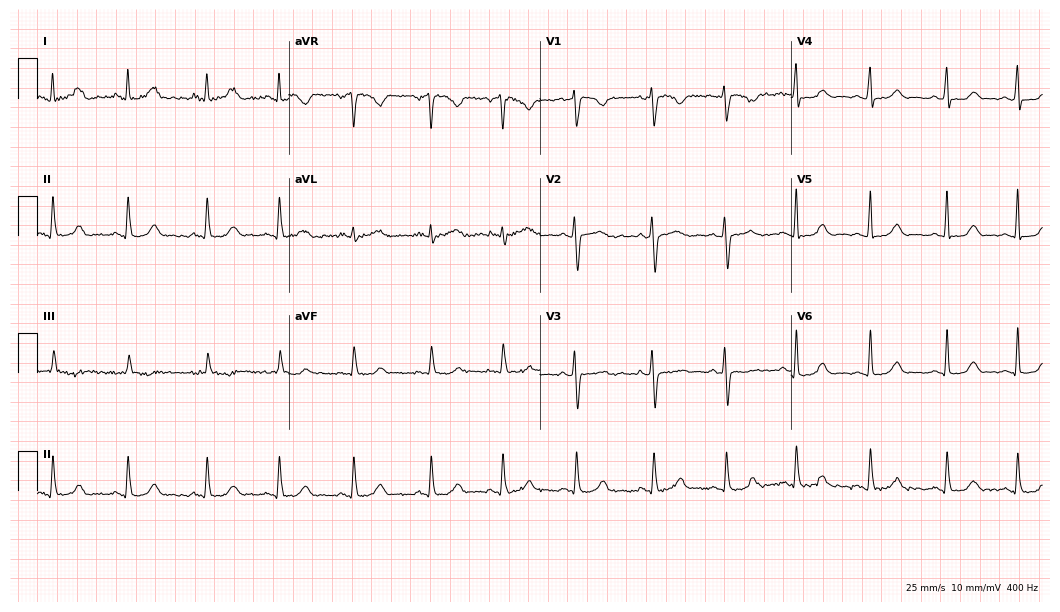
12-lead ECG from a woman, 35 years old. Recorded interpretation: within normal limits.